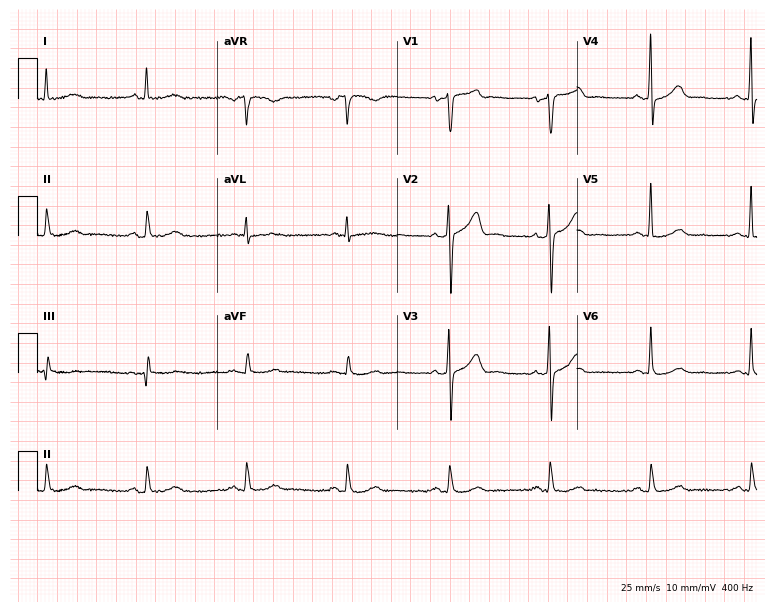
12-lead ECG (7.3-second recording at 400 Hz) from a 55-year-old male patient. Labelled as a normal ECG.